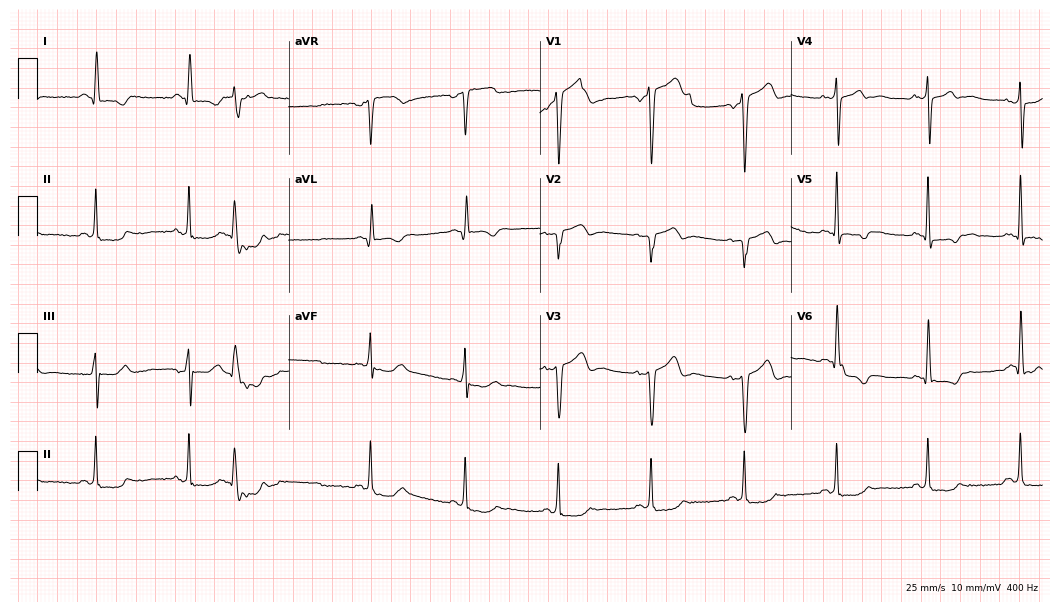
Resting 12-lead electrocardiogram (10.2-second recording at 400 Hz). Patient: a 51-year-old male. None of these six findings is recorded: first-degree AV block, right bundle branch block, left bundle branch block, sinus bradycardia, atrial fibrillation, sinus tachycardia. Other findings, if any, are not listed.